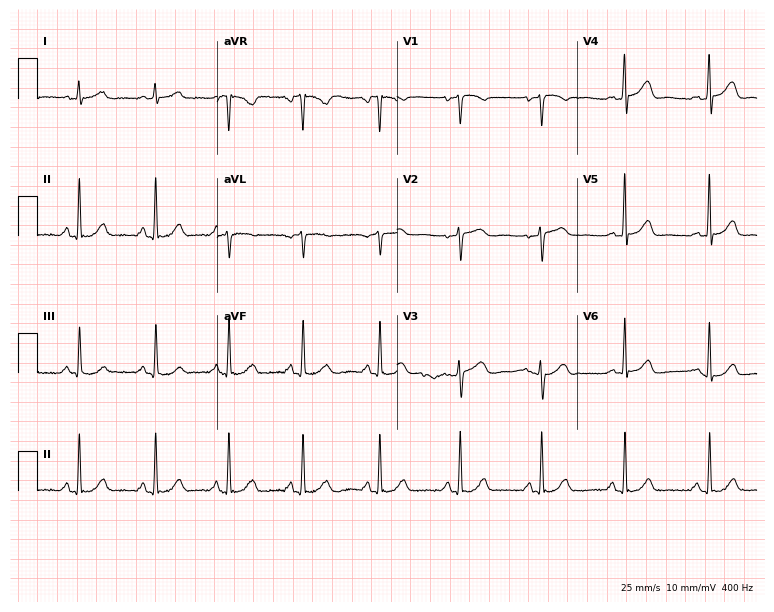
ECG — a 63-year-old female patient. Labelled as a normal ECG.